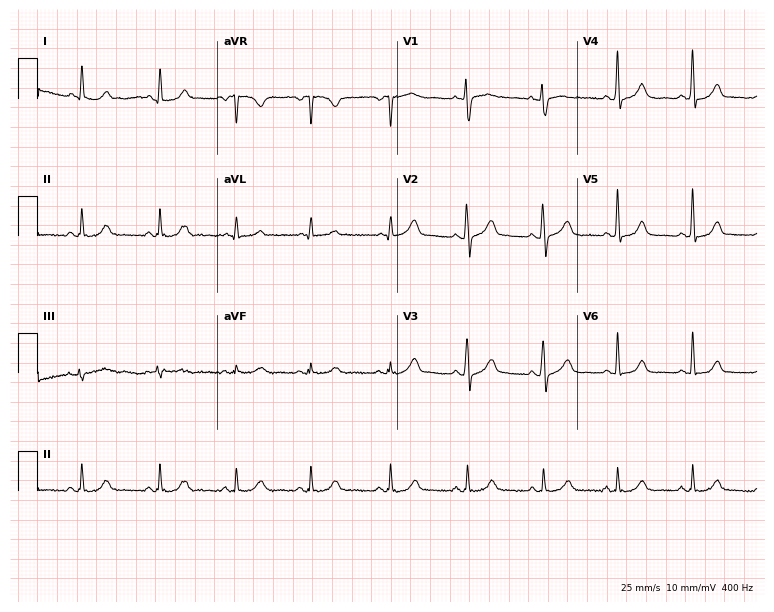
12-lead ECG from a 41-year-old woman. Recorded interpretation: within normal limits.